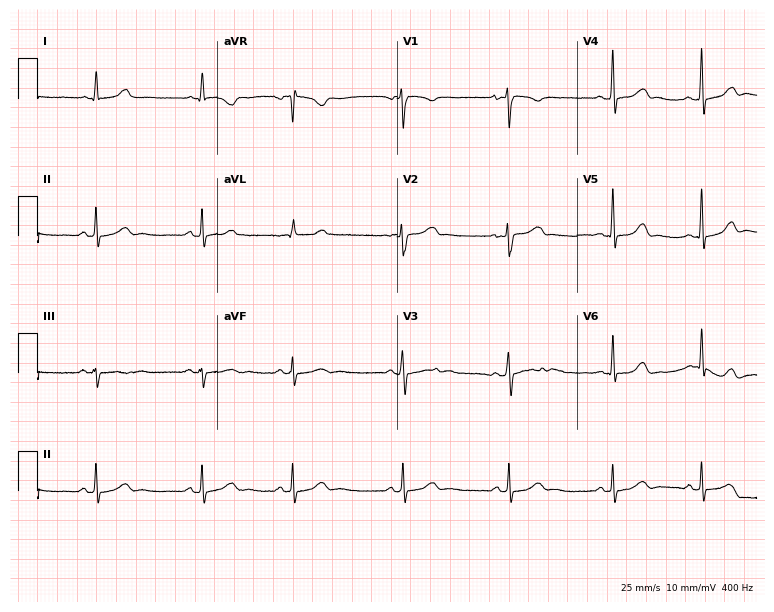
12-lead ECG from a woman, 18 years old. Recorded interpretation: within normal limits.